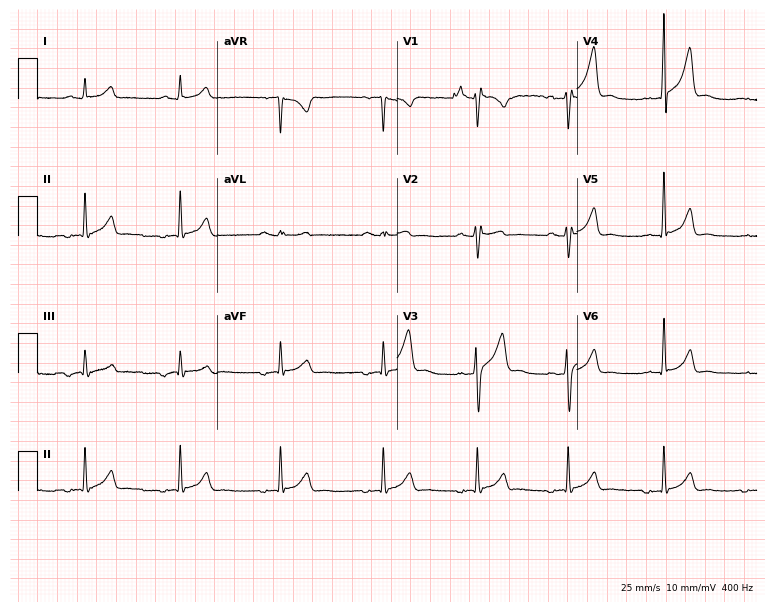
Resting 12-lead electrocardiogram (7.3-second recording at 400 Hz). Patient: a female, 34 years old. None of these six findings is recorded: first-degree AV block, right bundle branch block (RBBB), left bundle branch block (LBBB), sinus bradycardia, atrial fibrillation (AF), sinus tachycardia.